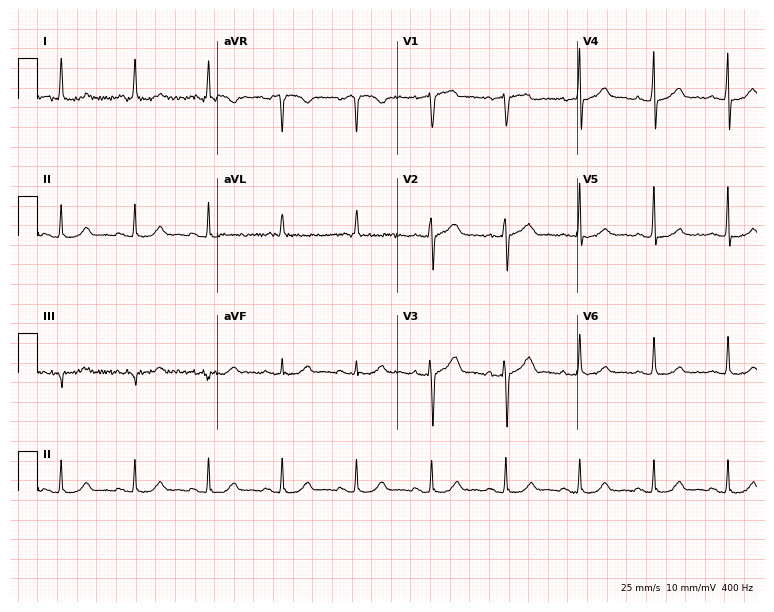
Resting 12-lead electrocardiogram. Patient: a woman, 65 years old. None of these six findings is recorded: first-degree AV block, right bundle branch block, left bundle branch block, sinus bradycardia, atrial fibrillation, sinus tachycardia. Other findings, if any, are not listed.